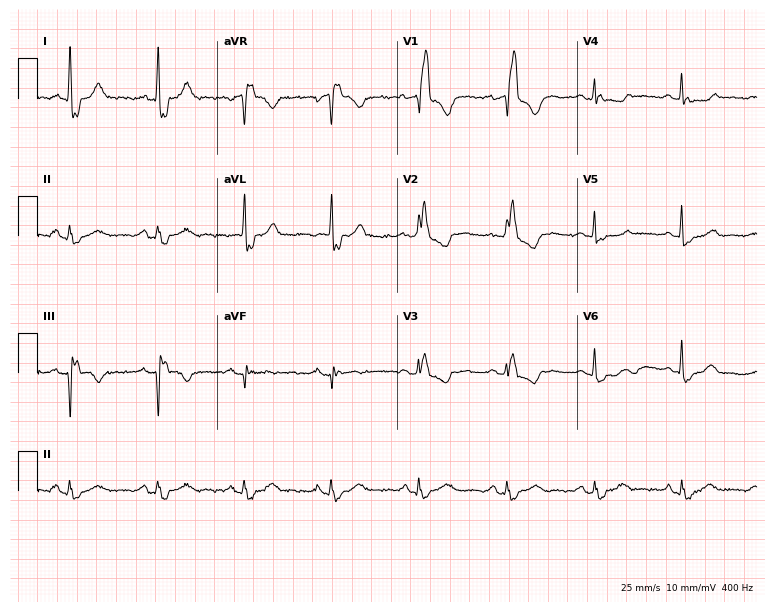
ECG (7.3-second recording at 400 Hz) — a female patient, 66 years old. Screened for six findings — first-degree AV block, right bundle branch block, left bundle branch block, sinus bradycardia, atrial fibrillation, sinus tachycardia — none is recorded. Only these six findings were labelled.